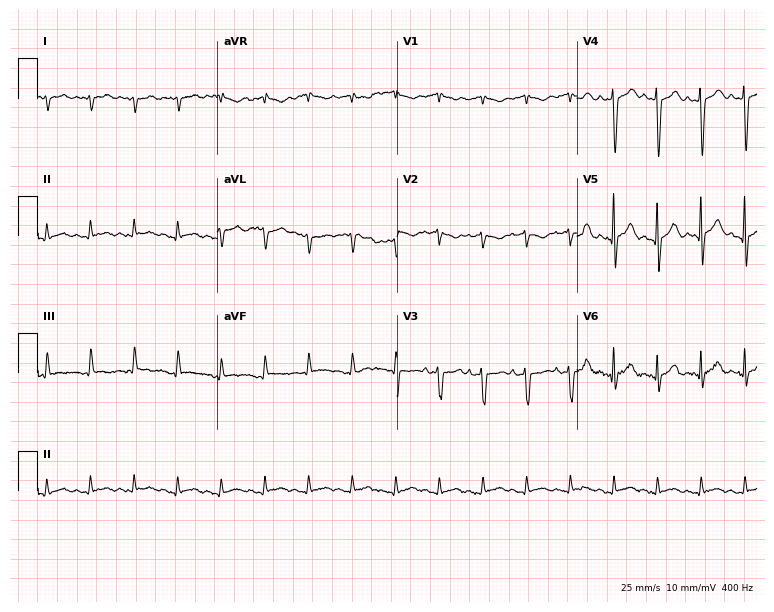
ECG (7.3-second recording at 400 Hz) — a male, 31 years old. Findings include sinus tachycardia (a sinus rate of 100 beats per minute or more).